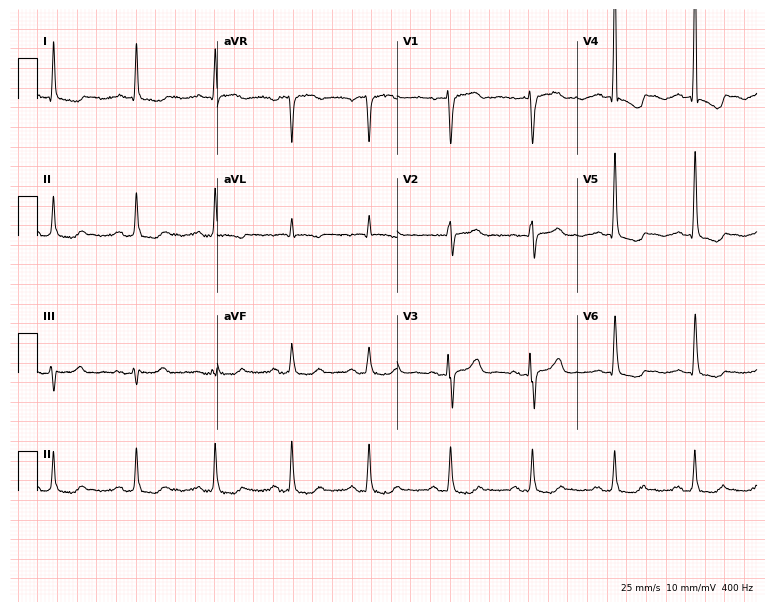
Electrocardiogram (7.3-second recording at 400 Hz), a female patient, 62 years old. Of the six screened findings (first-degree AV block, right bundle branch block, left bundle branch block, sinus bradycardia, atrial fibrillation, sinus tachycardia), none is recorded. Other findings, if any, are not listed.